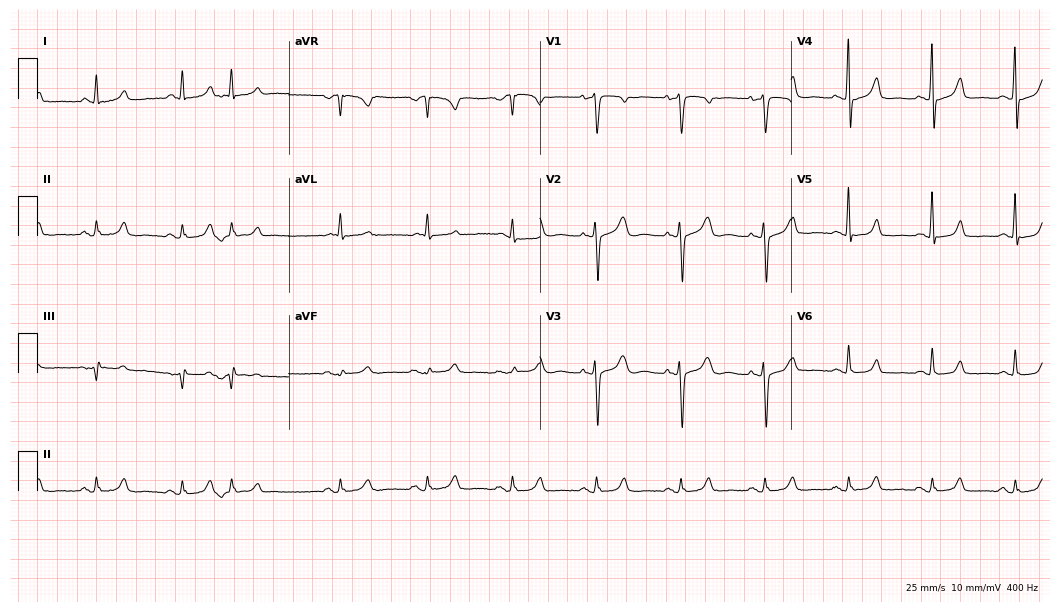
12-lead ECG from a 69-year-old male. No first-degree AV block, right bundle branch block (RBBB), left bundle branch block (LBBB), sinus bradycardia, atrial fibrillation (AF) or sinus tachycardia recorded for this tracing.